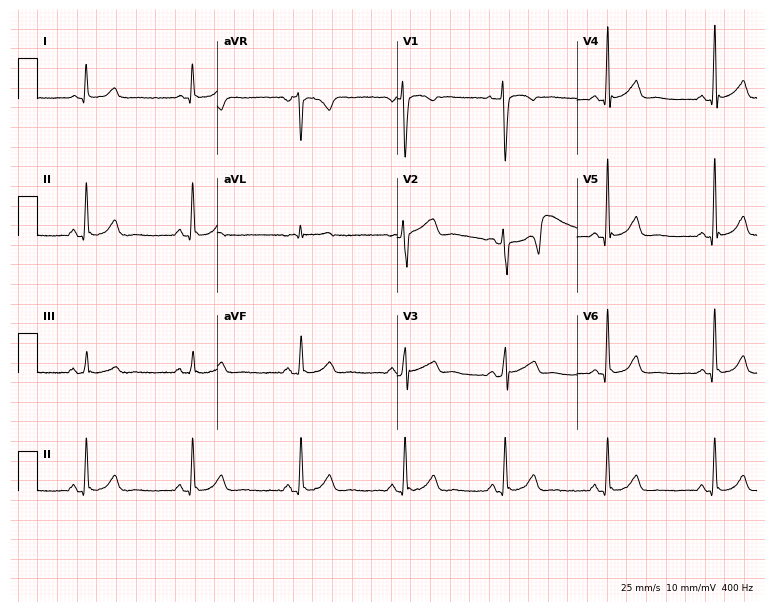
ECG (7.3-second recording at 400 Hz) — a woman, 51 years old. Labelled as a normal ECG.